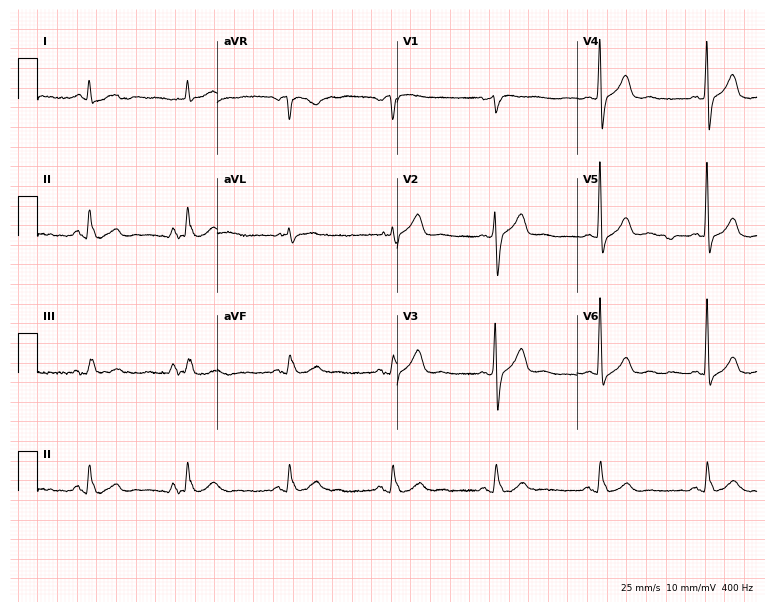
Electrocardiogram, a man, 74 years old. Of the six screened findings (first-degree AV block, right bundle branch block (RBBB), left bundle branch block (LBBB), sinus bradycardia, atrial fibrillation (AF), sinus tachycardia), none is recorded. Other findings, if any, are not listed.